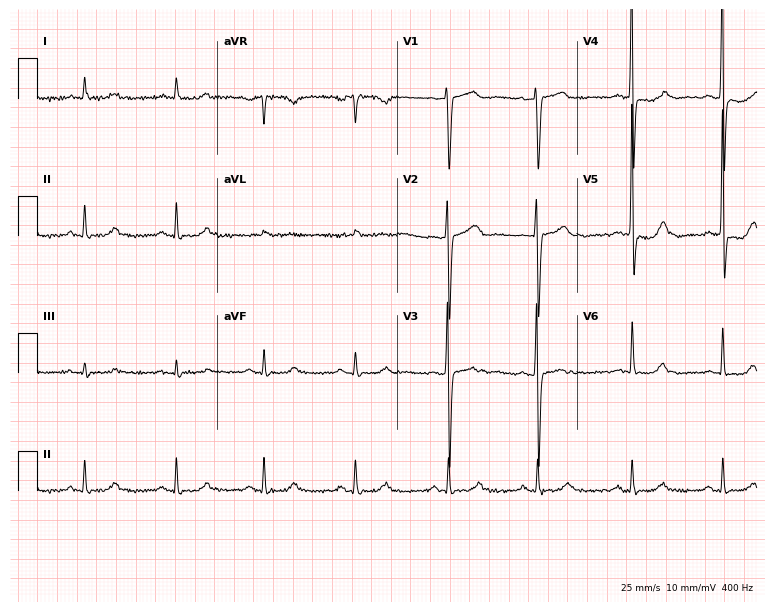
12-lead ECG (7.3-second recording at 400 Hz) from a male, 70 years old. Screened for six findings — first-degree AV block, right bundle branch block, left bundle branch block, sinus bradycardia, atrial fibrillation, sinus tachycardia — none is recorded.